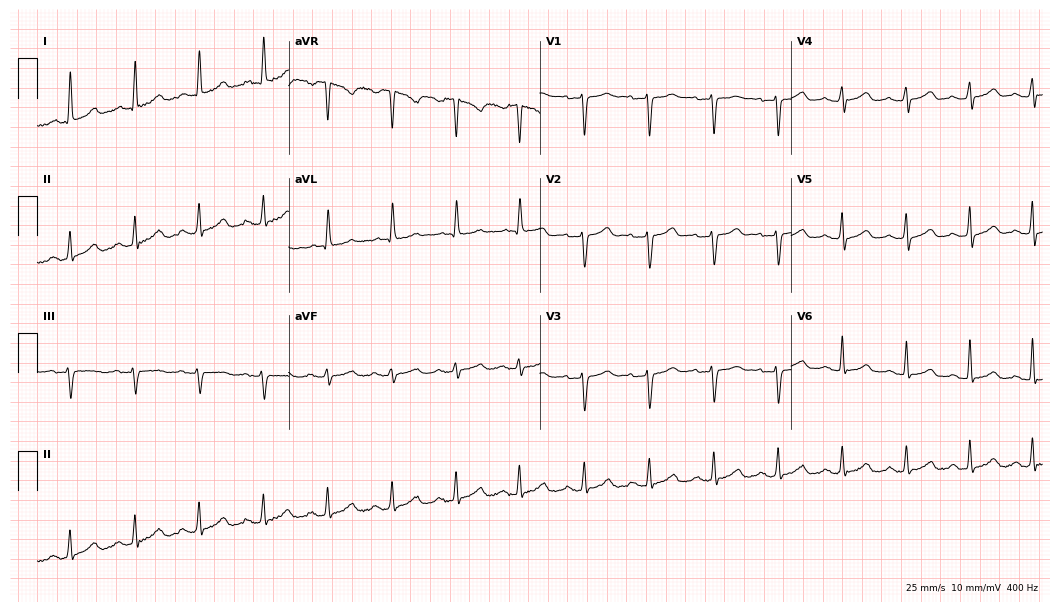
Standard 12-lead ECG recorded from a female patient, 53 years old (10.2-second recording at 400 Hz). None of these six findings is recorded: first-degree AV block, right bundle branch block, left bundle branch block, sinus bradycardia, atrial fibrillation, sinus tachycardia.